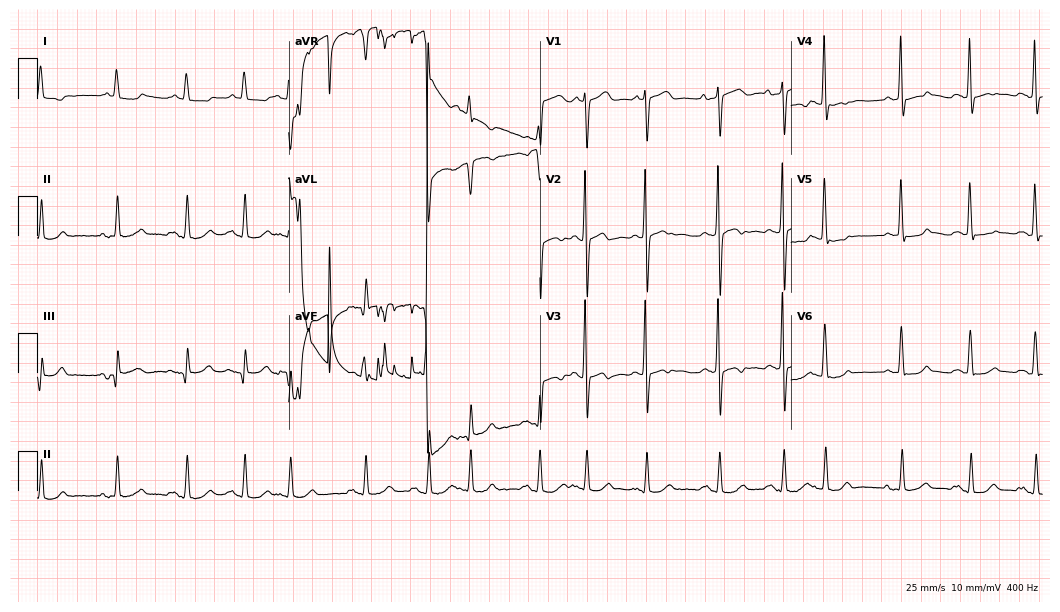
Electrocardiogram, a 77-year-old man. Of the six screened findings (first-degree AV block, right bundle branch block (RBBB), left bundle branch block (LBBB), sinus bradycardia, atrial fibrillation (AF), sinus tachycardia), none is recorded.